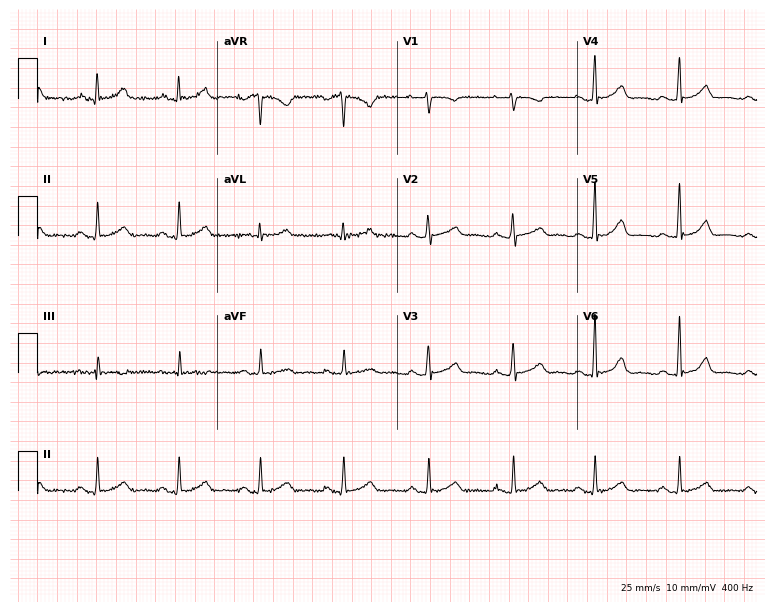
12-lead ECG from a female patient, 41 years old. No first-degree AV block, right bundle branch block, left bundle branch block, sinus bradycardia, atrial fibrillation or sinus tachycardia recorded for this tracing. Other findings, if any, are not listed.